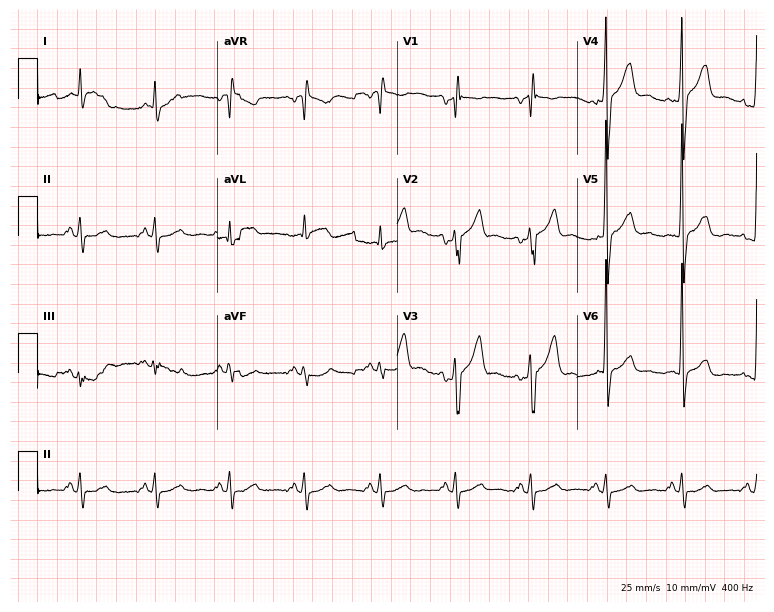
Standard 12-lead ECG recorded from a male, 44 years old. None of these six findings is recorded: first-degree AV block, right bundle branch block, left bundle branch block, sinus bradycardia, atrial fibrillation, sinus tachycardia. Only these six findings were labelled.